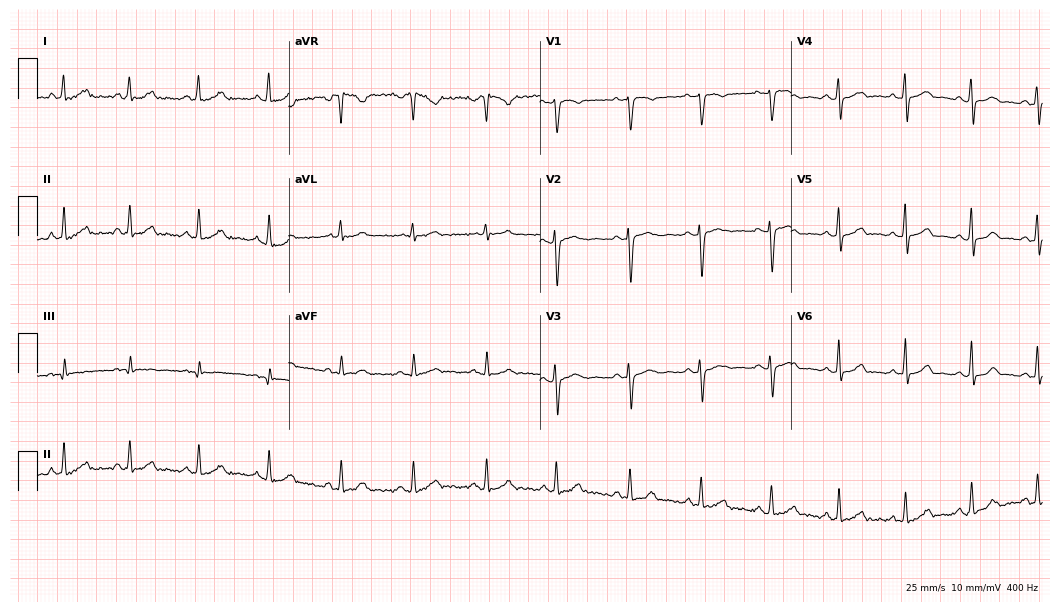
ECG (10.2-second recording at 400 Hz) — a 38-year-old female. Labelled as a normal ECG.